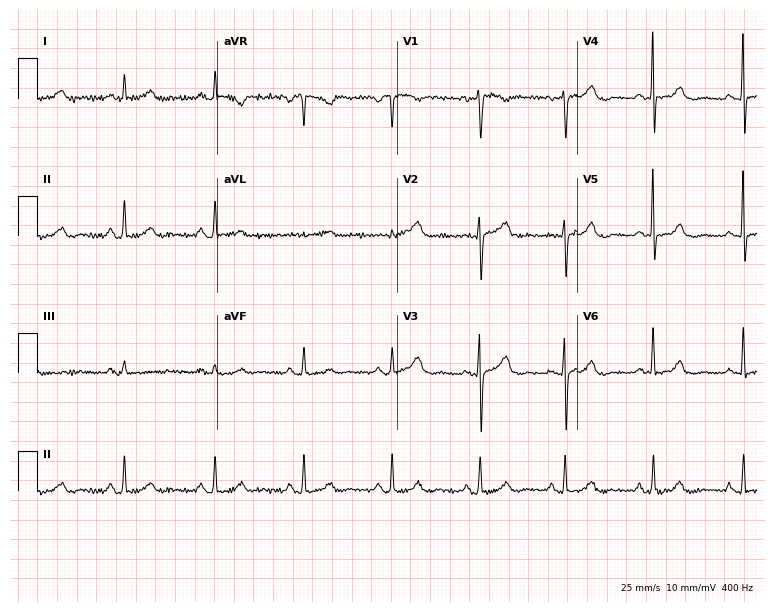
Electrocardiogram, a woman, 67 years old. Of the six screened findings (first-degree AV block, right bundle branch block, left bundle branch block, sinus bradycardia, atrial fibrillation, sinus tachycardia), none is recorded.